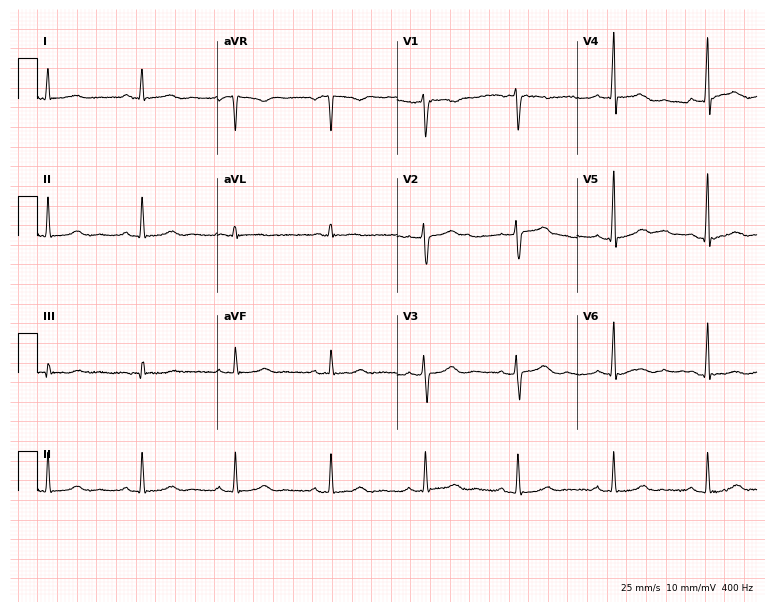
Electrocardiogram, a 52-year-old female. Overall reading on record: normal ECG.